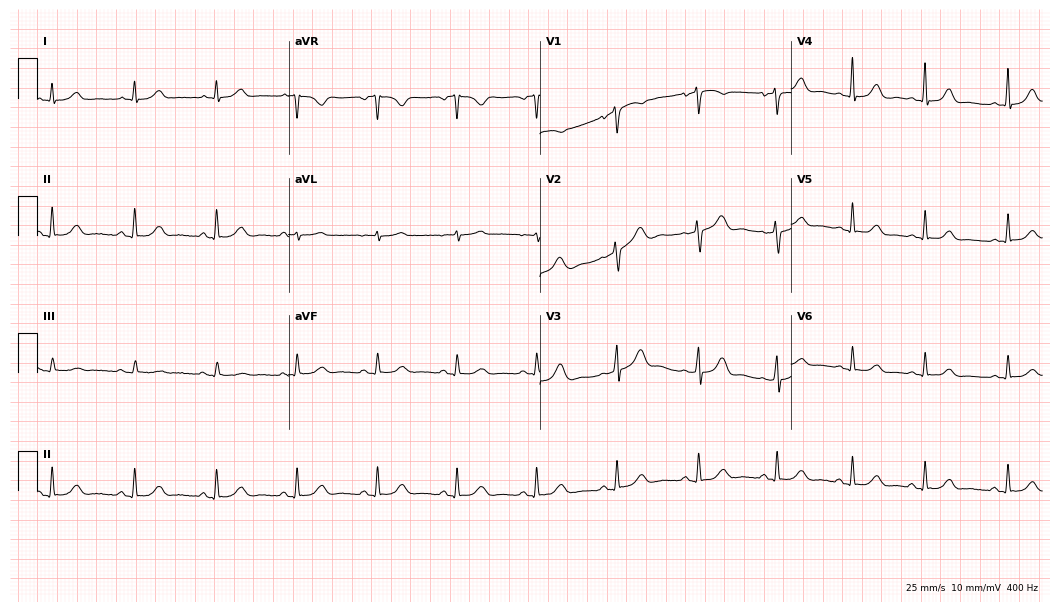
Standard 12-lead ECG recorded from a 51-year-old female patient (10.2-second recording at 400 Hz). Read as a normal ECG.